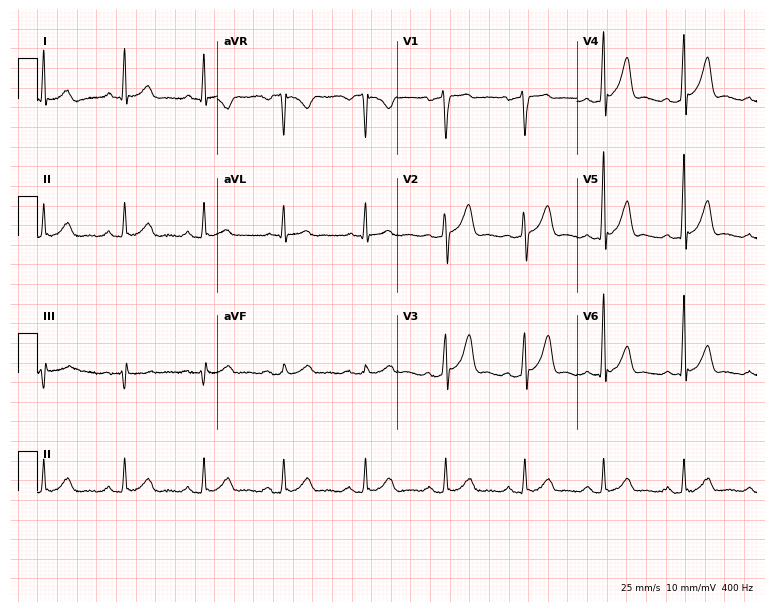
Electrocardiogram (7.3-second recording at 400 Hz), a 50-year-old male patient. Overall reading on record: normal ECG.